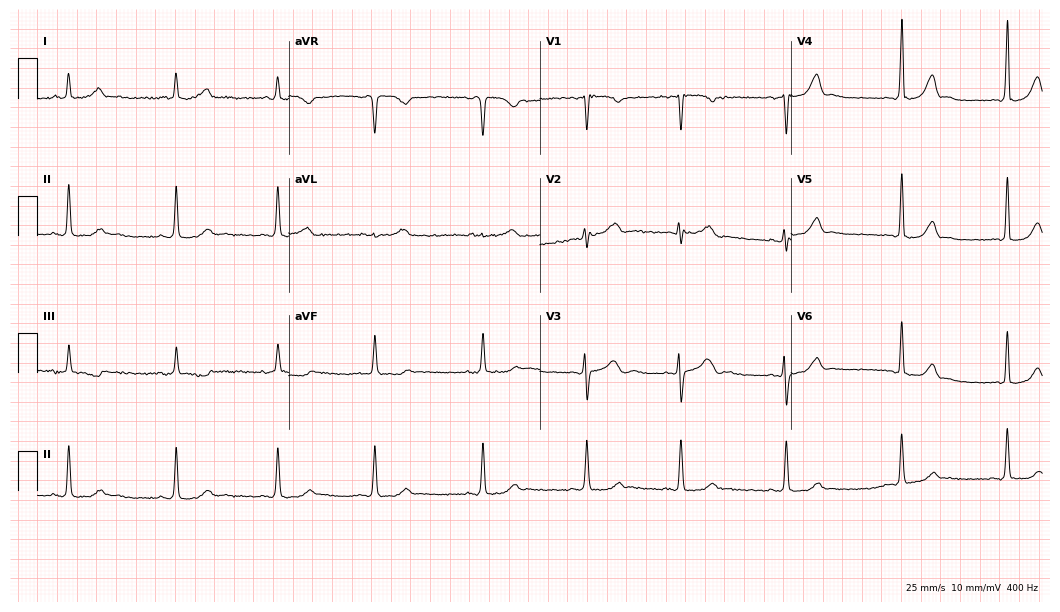
Standard 12-lead ECG recorded from a woman, 31 years old (10.2-second recording at 400 Hz). Read as a normal ECG.